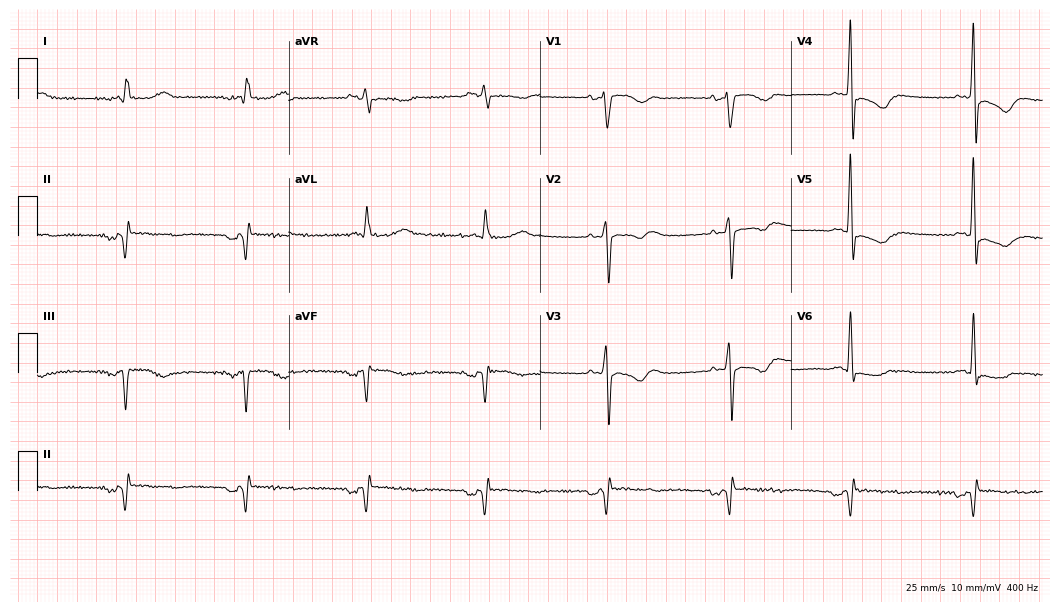
Resting 12-lead electrocardiogram. Patient: a male, 61 years old. None of these six findings is recorded: first-degree AV block, right bundle branch block, left bundle branch block, sinus bradycardia, atrial fibrillation, sinus tachycardia.